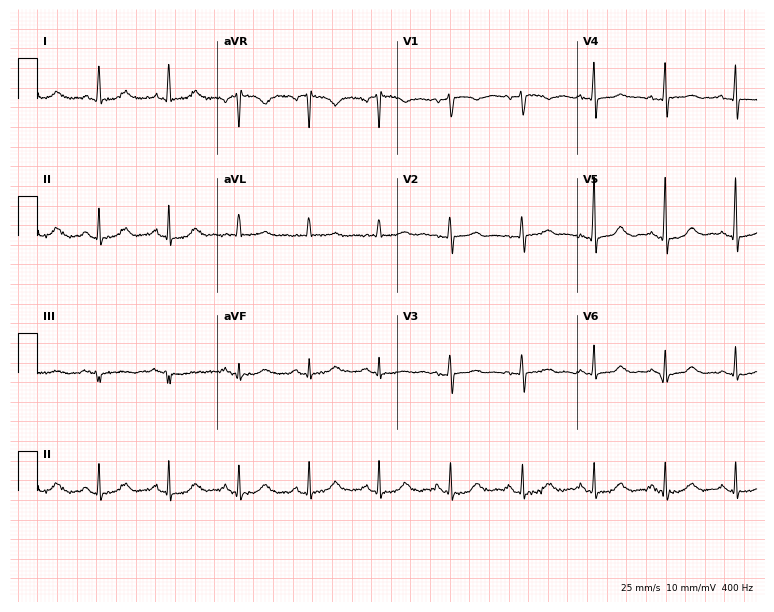
Resting 12-lead electrocardiogram (7.3-second recording at 400 Hz). Patient: a female, 71 years old. None of these six findings is recorded: first-degree AV block, right bundle branch block (RBBB), left bundle branch block (LBBB), sinus bradycardia, atrial fibrillation (AF), sinus tachycardia. Findings outside these six are not listed.